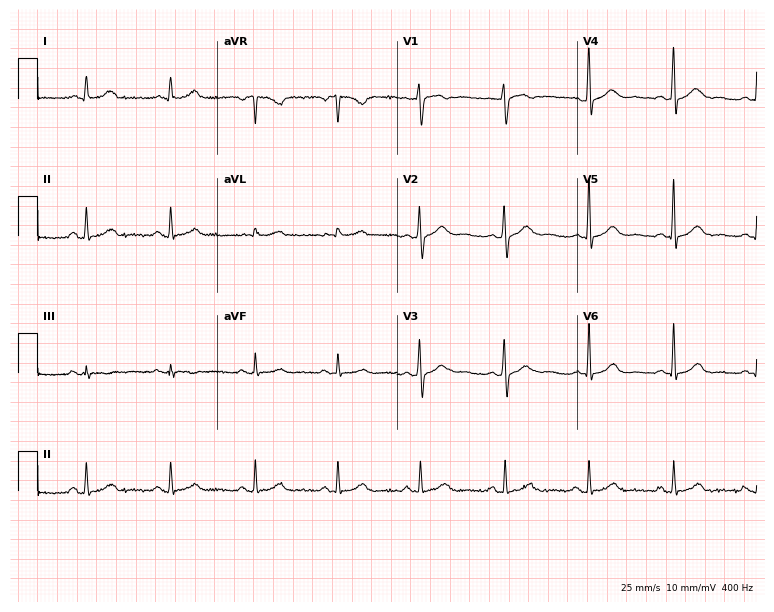
ECG — a female patient, 39 years old. Labelled as a normal ECG.